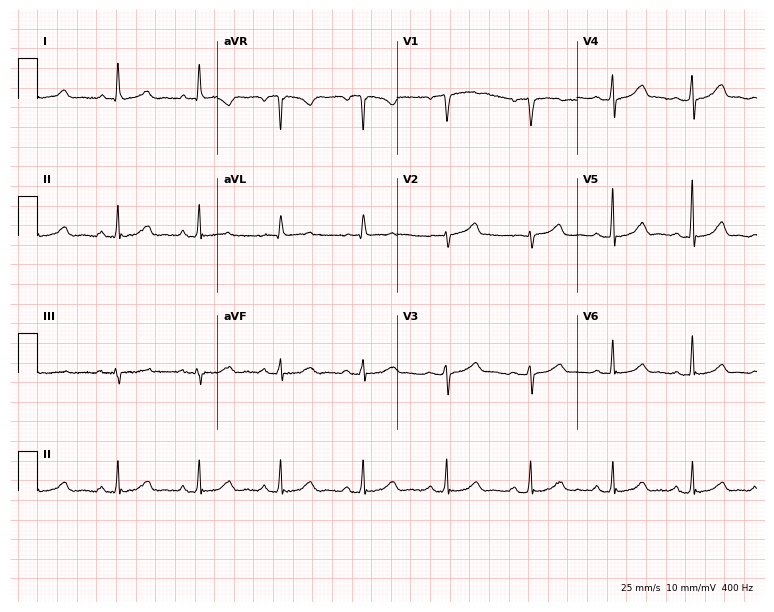
12-lead ECG from a 67-year-old female patient (7.3-second recording at 400 Hz). Recorded interpretation: within normal limits.